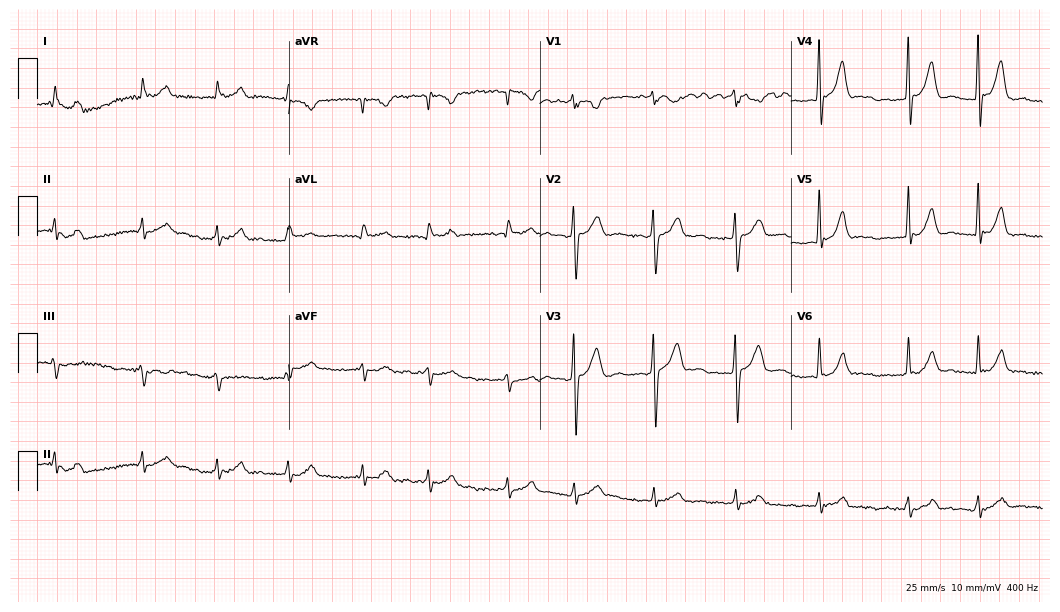
Standard 12-lead ECG recorded from an 82-year-old male (10.2-second recording at 400 Hz). None of these six findings is recorded: first-degree AV block, right bundle branch block, left bundle branch block, sinus bradycardia, atrial fibrillation, sinus tachycardia.